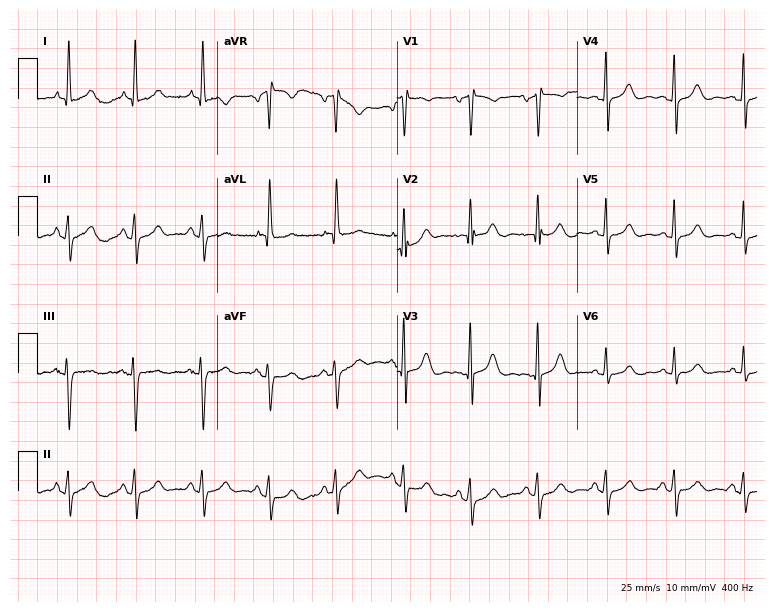
12-lead ECG (7.3-second recording at 400 Hz) from a woman, 56 years old. Screened for six findings — first-degree AV block, right bundle branch block, left bundle branch block, sinus bradycardia, atrial fibrillation, sinus tachycardia — none is recorded. Other findings, if any, are not listed.